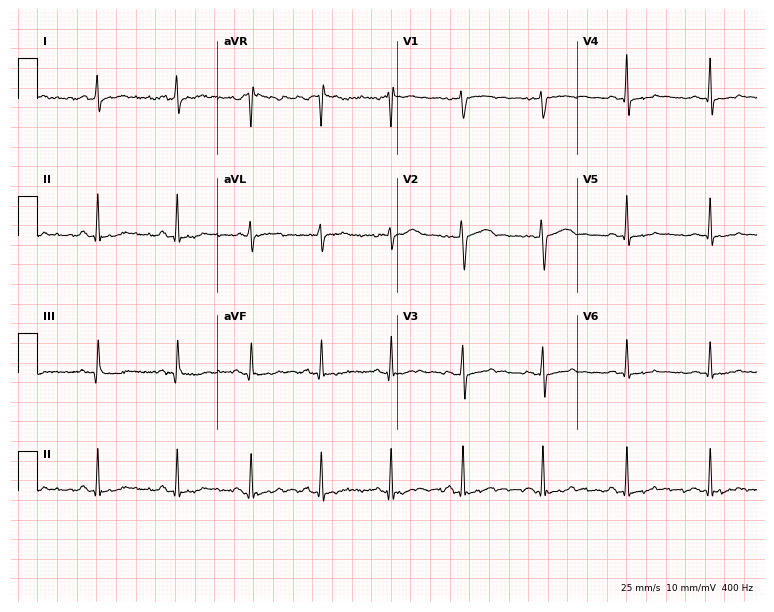
Resting 12-lead electrocardiogram. Patient: a 50-year-old woman. None of these six findings is recorded: first-degree AV block, right bundle branch block, left bundle branch block, sinus bradycardia, atrial fibrillation, sinus tachycardia. Only these six findings were labelled.